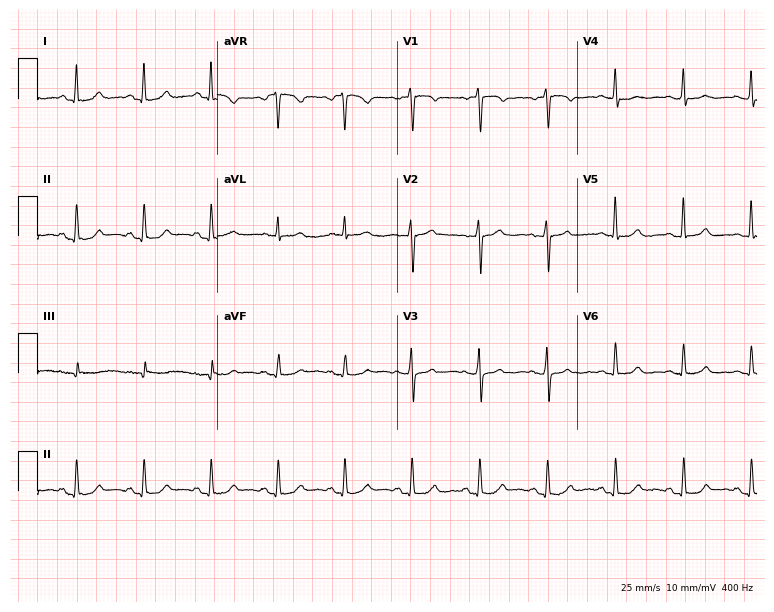
Electrocardiogram, a 57-year-old woman. Of the six screened findings (first-degree AV block, right bundle branch block, left bundle branch block, sinus bradycardia, atrial fibrillation, sinus tachycardia), none is recorded. Findings outside these six are not listed.